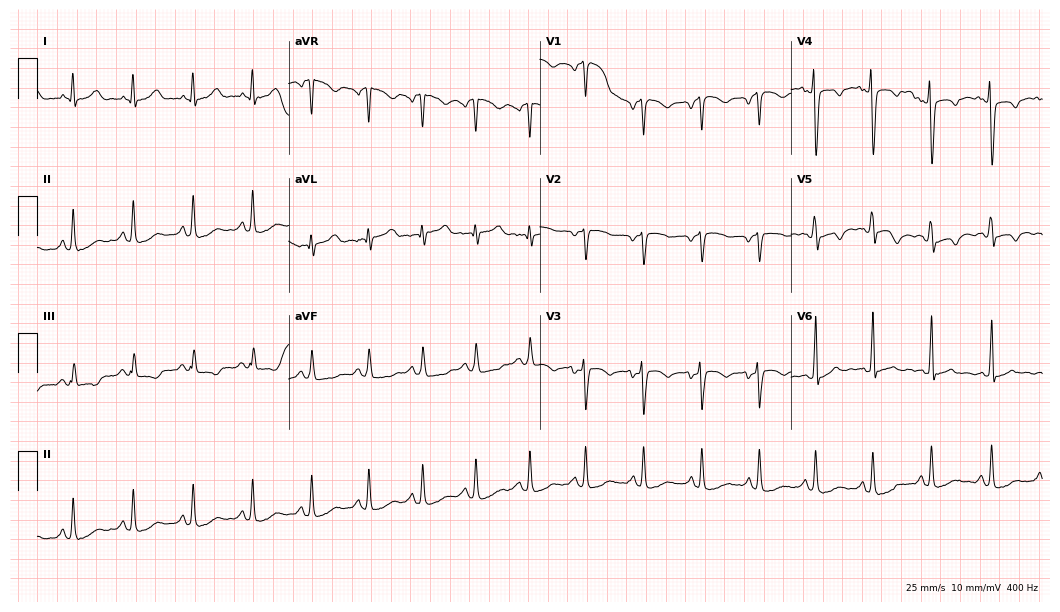
Electrocardiogram, a 35-year-old female. Of the six screened findings (first-degree AV block, right bundle branch block (RBBB), left bundle branch block (LBBB), sinus bradycardia, atrial fibrillation (AF), sinus tachycardia), none is recorded. Only these six findings were labelled.